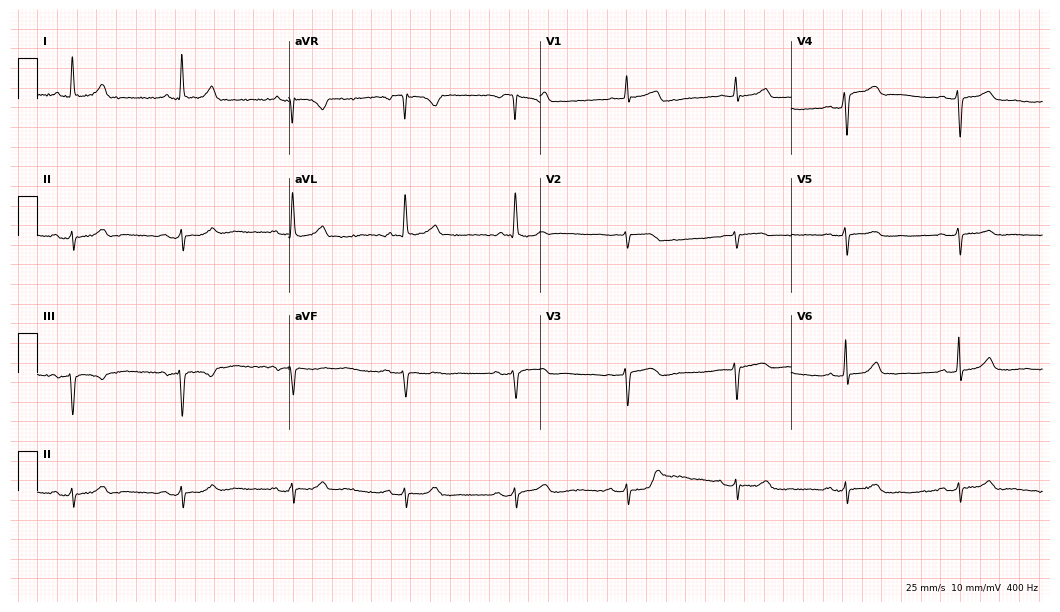
Standard 12-lead ECG recorded from a female patient, 73 years old. None of these six findings is recorded: first-degree AV block, right bundle branch block, left bundle branch block, sinus bradycardia, atrial fibrillation, sinus tachycardia.